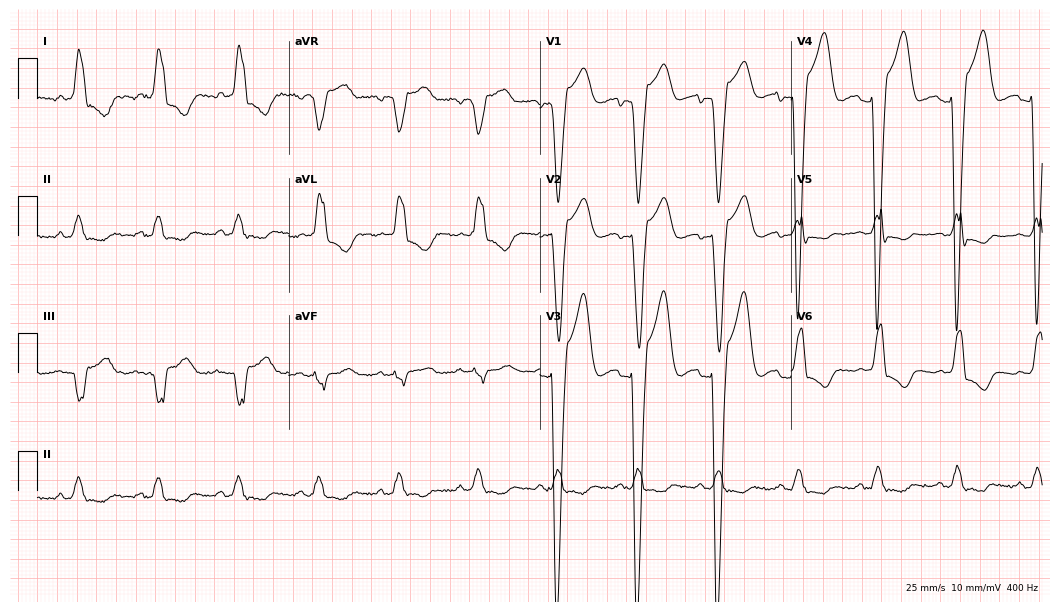
Standard 12-lead ECG recorded from a 62-year-old woman (10.2-second recording at 400 Hz). The tracing shows left bundle branch block.